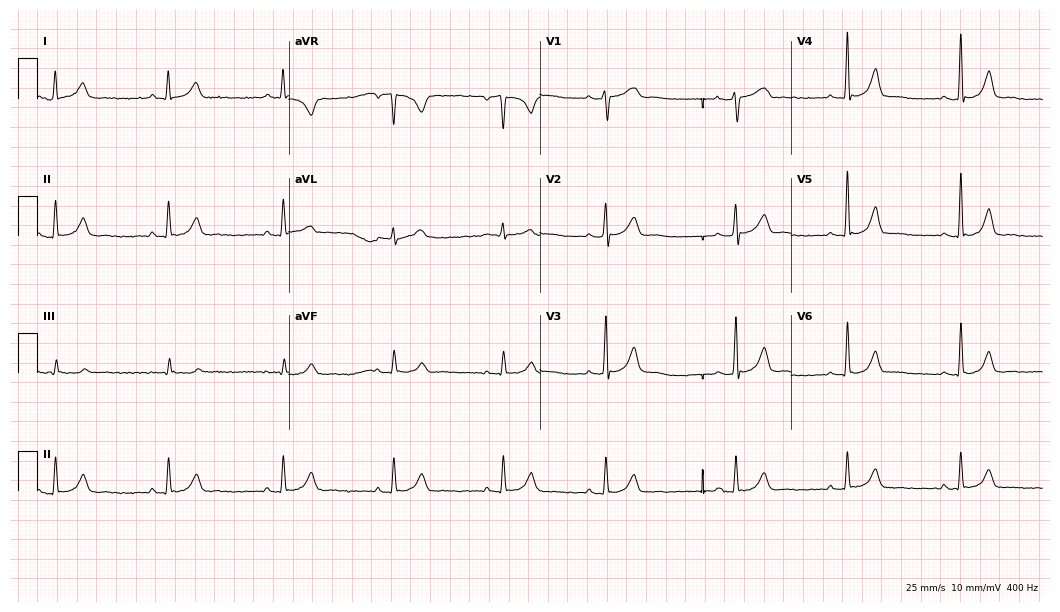
12-lead ECG from a woman, 24 years old. Screened for six findings — first-degree AV block, right bundle branch block, left bundle branch block, sinus bradycardia, atrial fibrillation, sinus tachycardia — none is recorded.